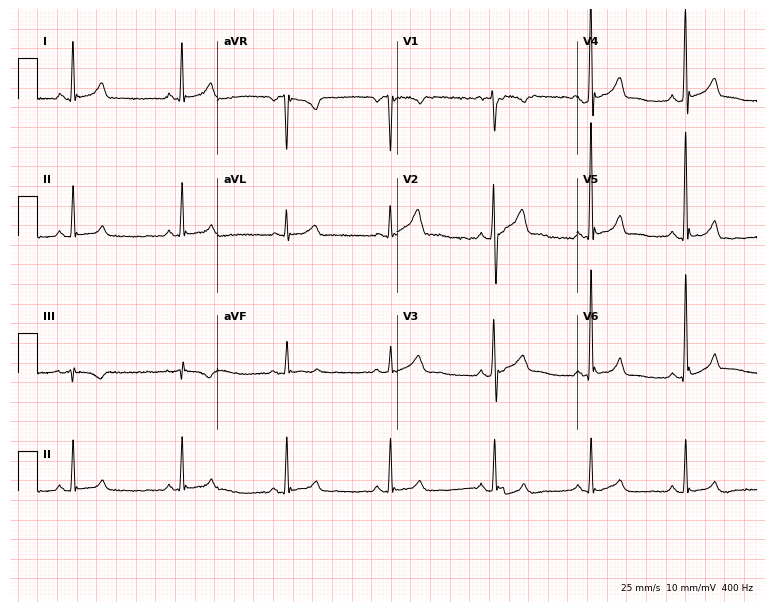
ECG (7.3-second recording at 400 Hz) — a male, 42 years old. Labelled as a normal ECG.